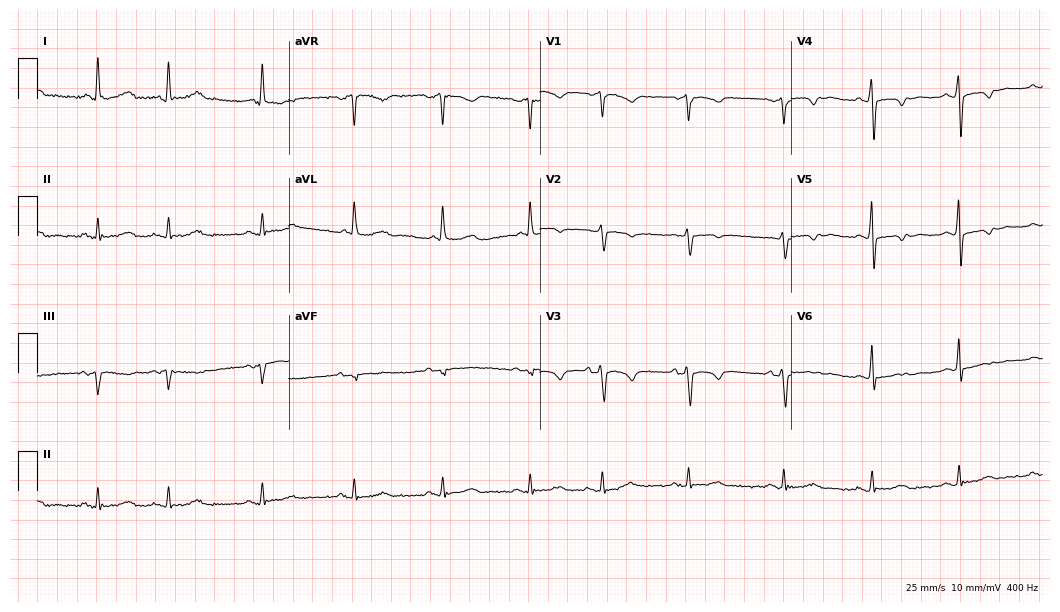
Resting 12-lead electrocardiogram. Patient: a female, 76 years old. None of these six findings is recorded: first-degree AV block, right bundle branch block, left bundle branch block, sinus bradycardia, atrial fibrillation, sinus tachycardia.